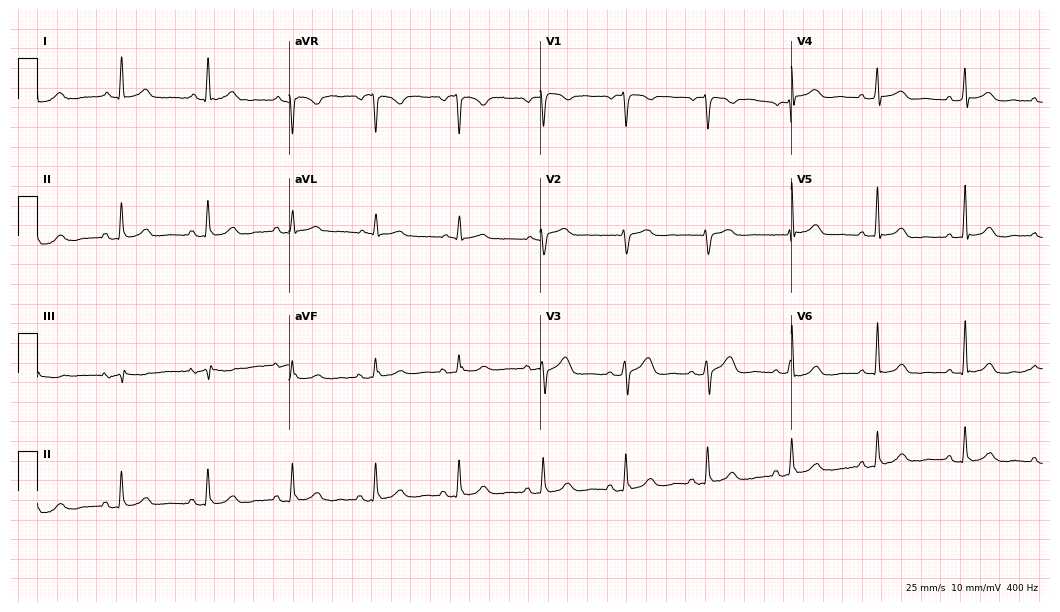
12-lead ECG (10.2-second recording at 400 Hz) from a 61-year-old woman. Labelled as a normal ECG.